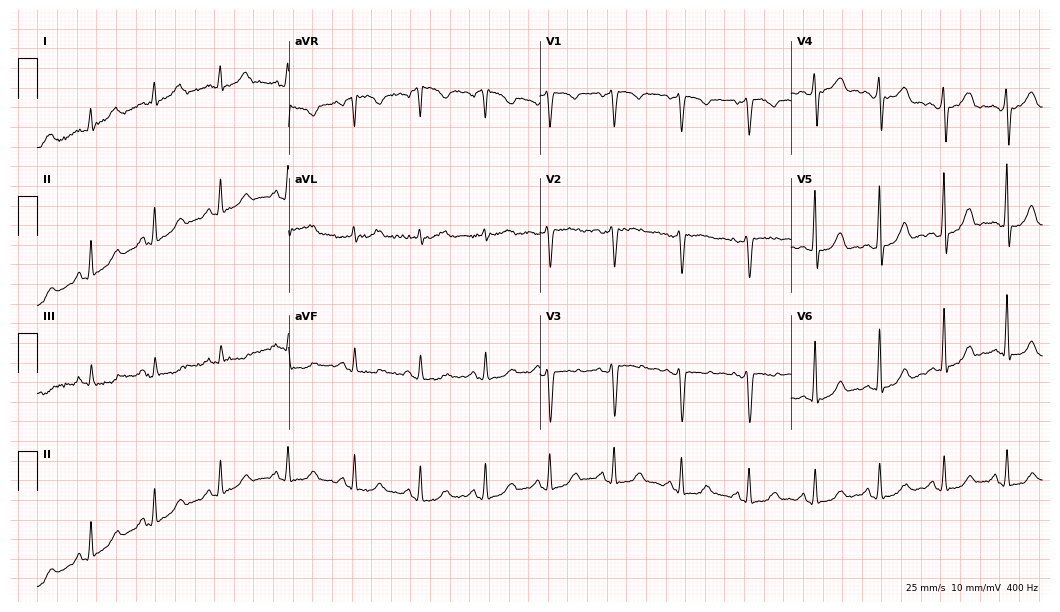
Electrocardiogram (10.2-second recording at 400 Hz), a 50-year-old female. Of the six screened findings (first-degree AV block, right bundle branch block (RBBB), left bundle branch block (LBBB), sinus bradycardia, atrial fibrillation (AF), sinus tachycardia), none is recorded. Findings outside these six are not listed.